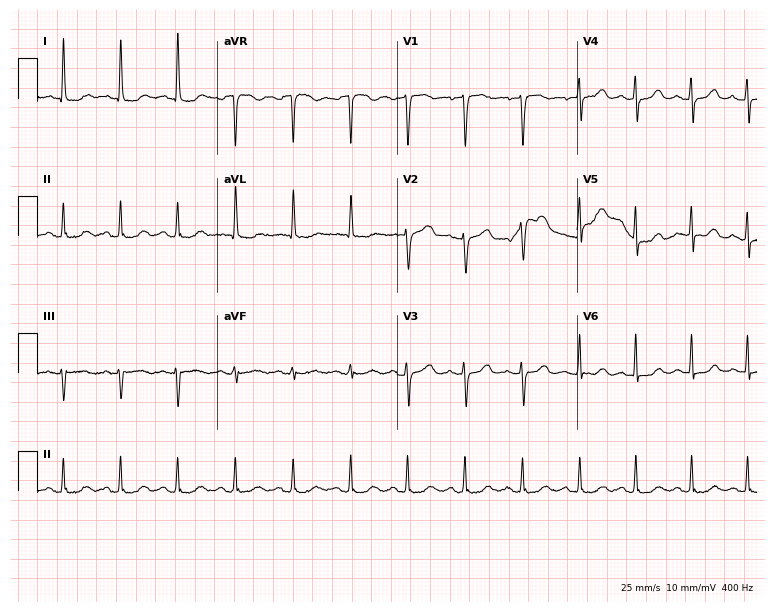
ECG — a female patient, 70 years old. Screened for six findings — first-degree AV block, right bundle branch block (RBBB), left bundle branch block (LBBB), sinus bradycardia, atrial fibrillation (AF), sinus tachycardia — none is recorded. Other findings, if any, are not listed.